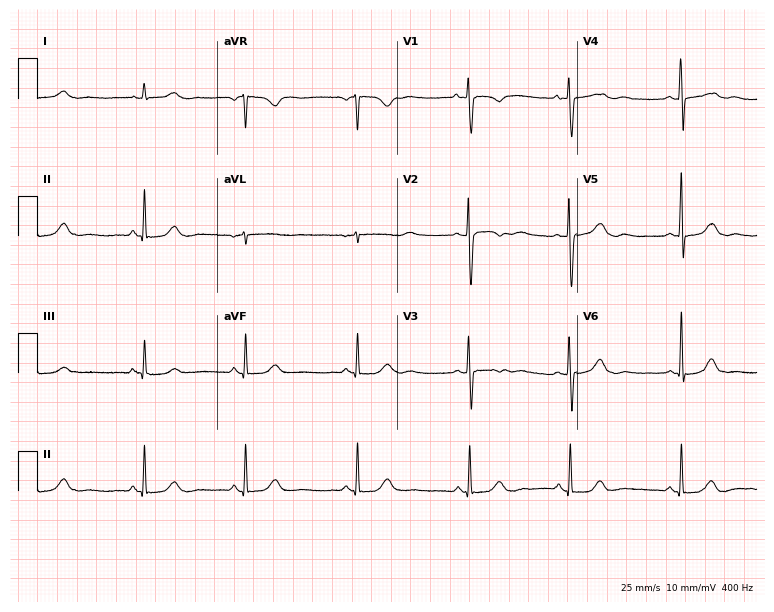
ECG — a 44-year-old female. Screened for six findings — first-degree AV block, right bundle branch block, left bundle branch block, sinus bradycardia, atrial fibrillation, sinus tachycardia — none is recorded.